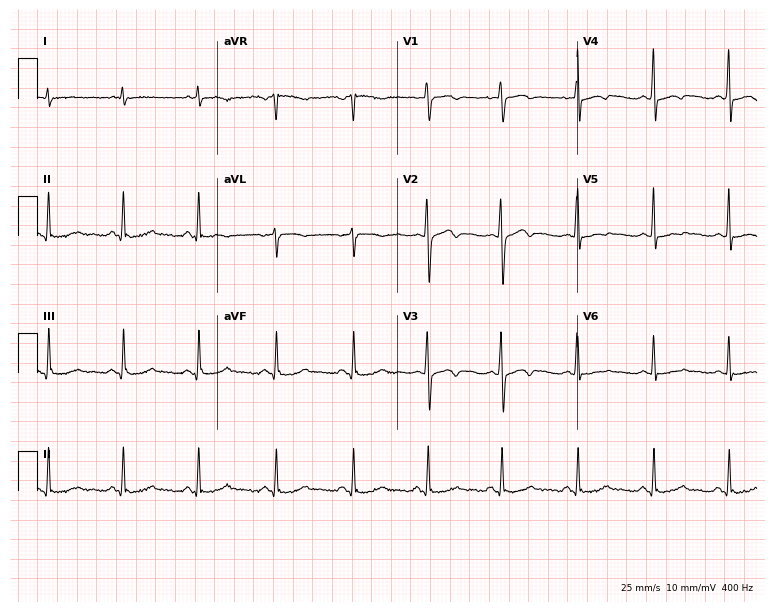
Standard 12-lead ECG recorded from a 49-year-old female. None of these six findings is recorded: first-degree AV block, right bundle branch block (RBBB), left bundle branch block (LBBB), sinus bradycardia, atrial fibrillation (AF), sinus tachycardia. Only these six findings were labelled.